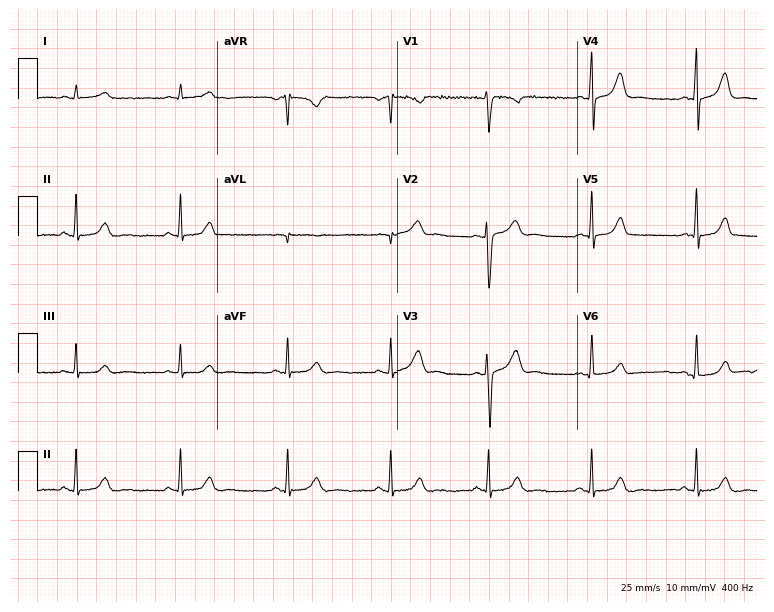
Standard 12-lead ECG recorded from a 35-year-old woman (7.3-second recording at 400 Hz). Read as a normal ECG.